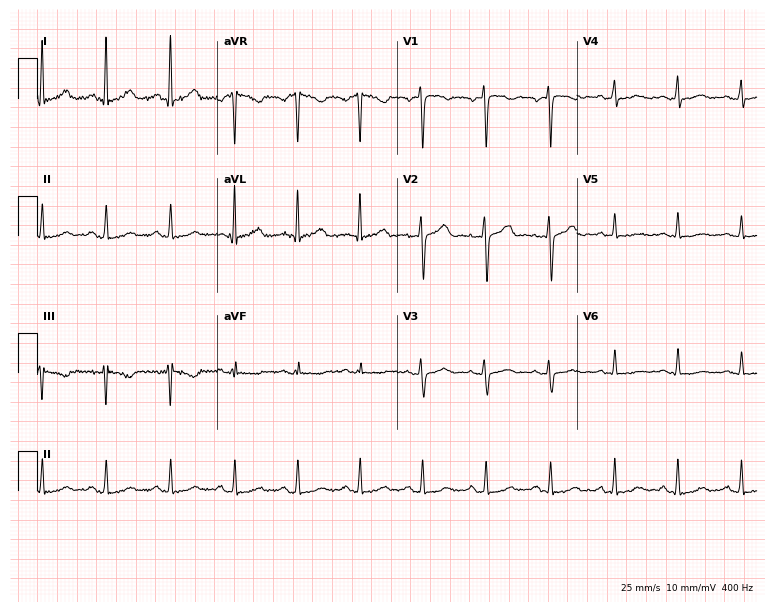
12-lead ECG from a woman, 43 years old (7.3-second recording at 400 Hz). Recorded interpretation: within normal limits.